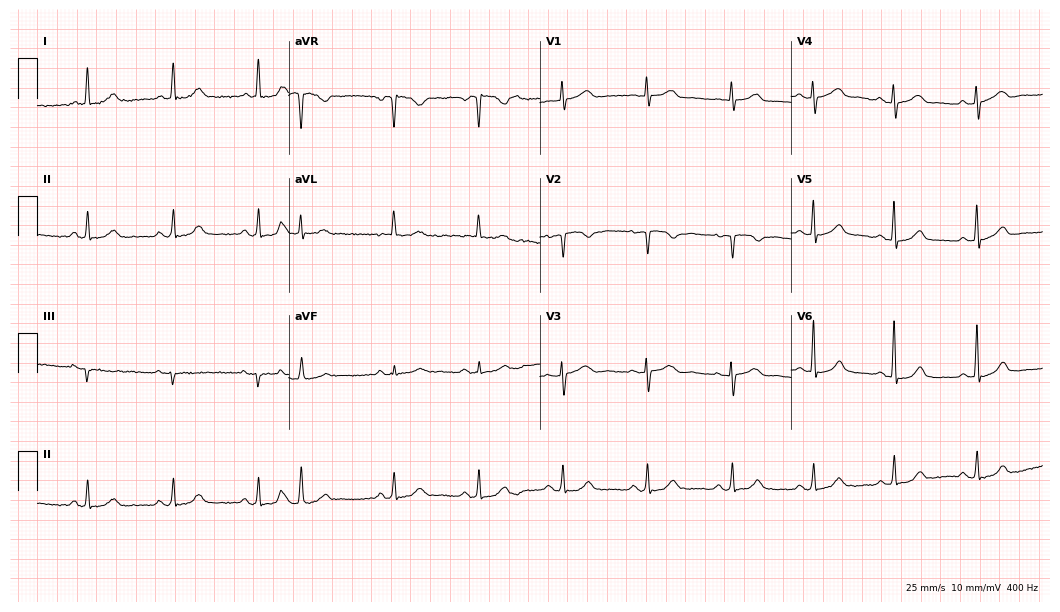
12-lead ECG from a woman, 79 years old. Screened for six findings — first-degree AV block, right bundle branch block, left bundle branch block, sinus bradycardia, atrial fibrillation, sinus tachycardia — none is recorded. Only these six findings were labelled.